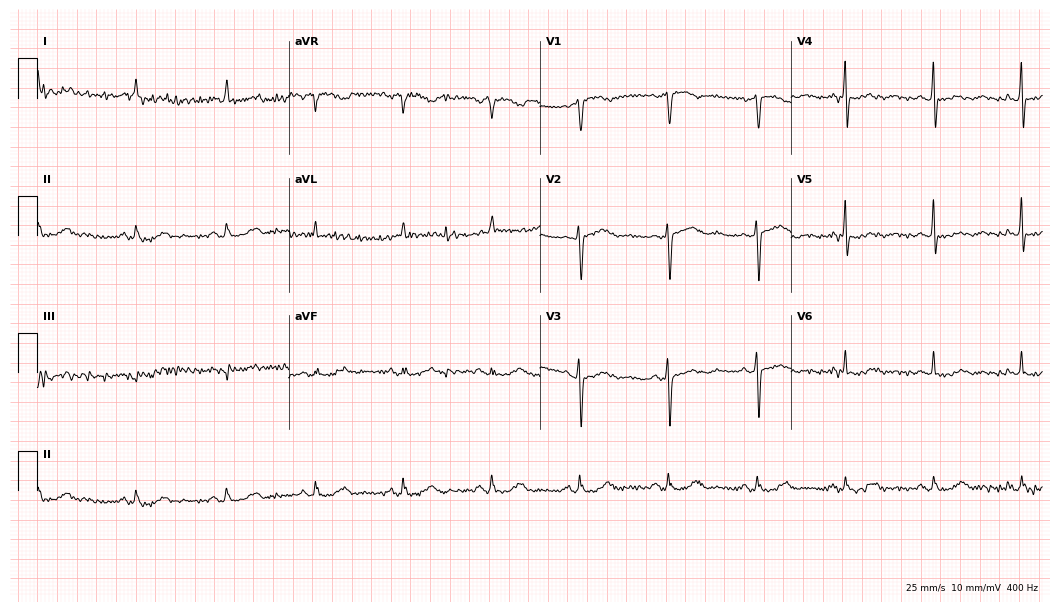
Standard 12-lead ECG recorded from a 71-year-old woman (10.2-second recording at 400 Hz). None of these six findings is recorded: first-degree AV block, right bundle branch block, left bundle branch block, sinus bradycardia, atrial fibrillation, sinus tachycardia.